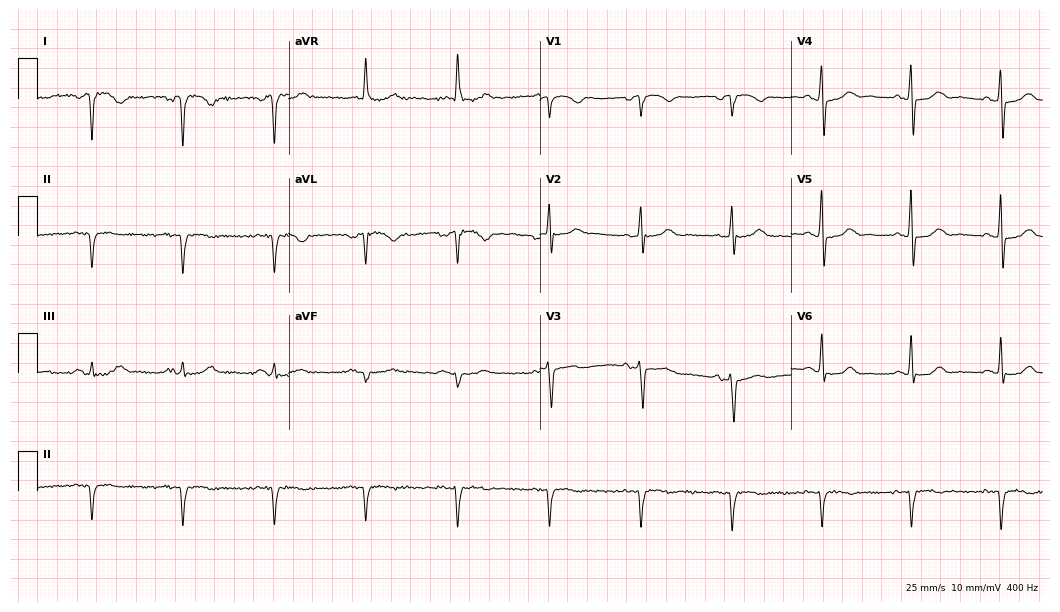
12-lead ECG from a female, 80 years old. Screened for six findings — first-degree AV block, right bundle branch block, left bundle branch block, sinus bradycardia, atrial fibrillation, sinus tachycardia — none is recorded. Other findings, if any, are not listed.